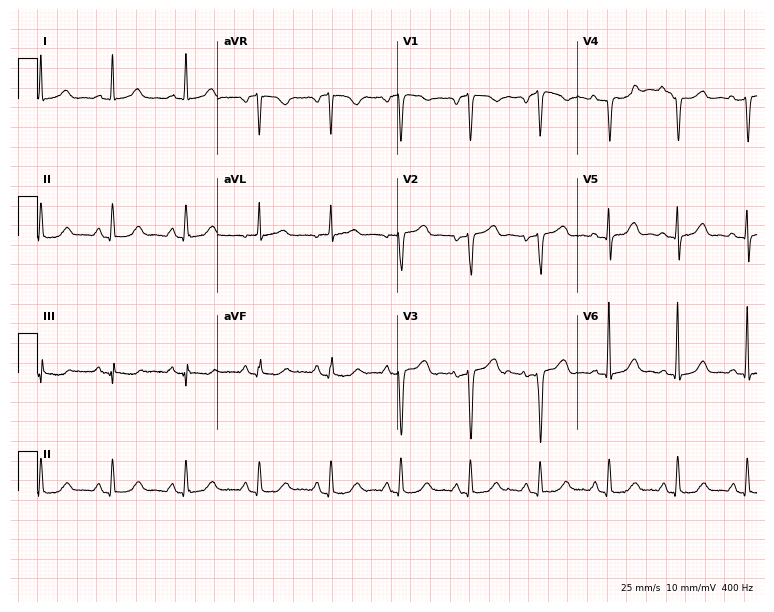
12-lead ECG (7.3-second recording at 400 Hz) from an 83-year-old woman. Screened for six findings — first-degree AV block, right bundle branch block, left bundle branch block, sinus bradycardia, atrial fibrillation, sinus tachycardia — none is recorded. Only these six findings were labelled.